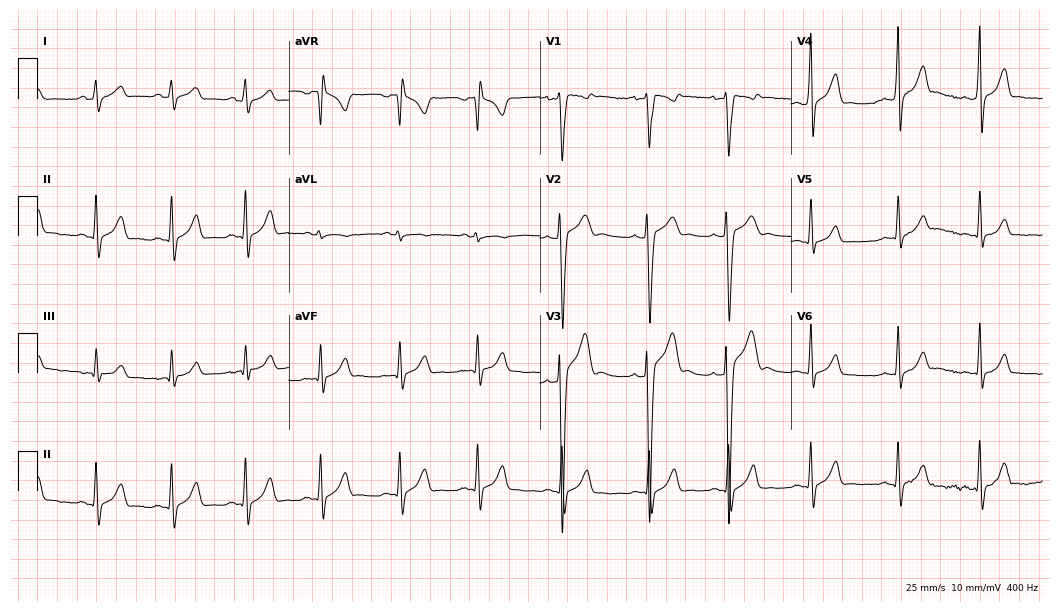
Electrocardiogram, a male, 18 years old. Overall reading on record: normal ECG.